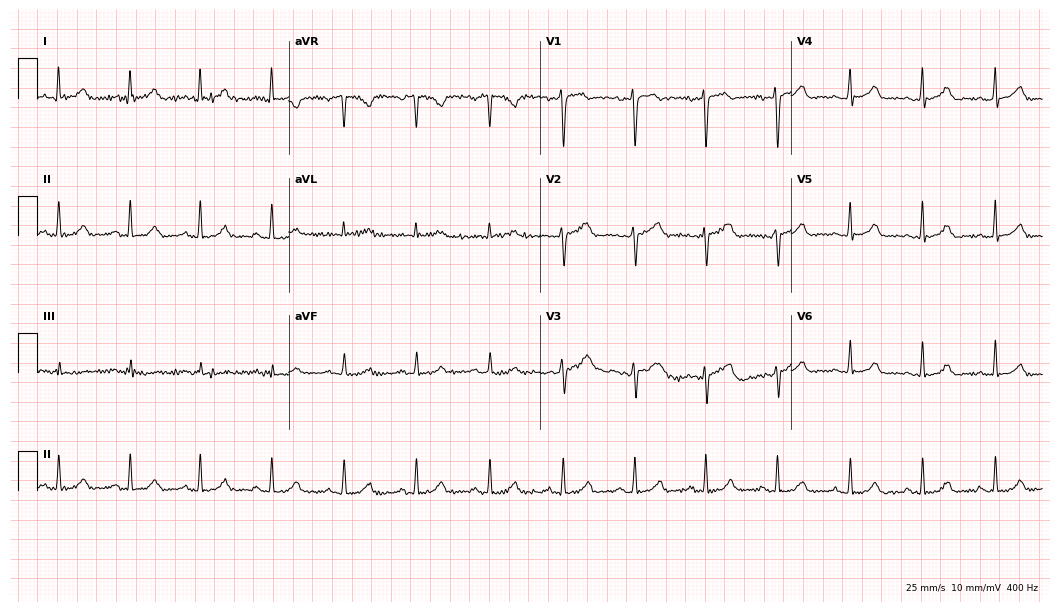
Standard 12-lead ECG recorded from a female patient, 27 years old (10.2-second recording at 400 Hz). None of these six findings is recorded: first-degree AV block, right bundle branch block, left bundle branch block, sinus bradycardia, atrial fibrillation, sinus tachycardia. Other findings, if any, are not listed.